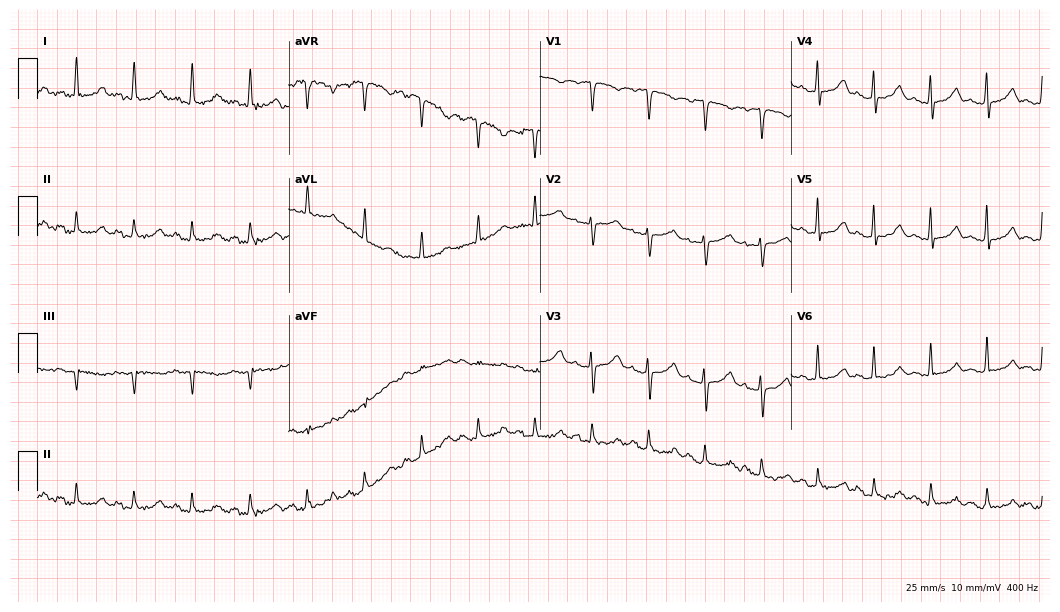
Resting 12-lead electrocardiogram. Patient: a female, 52 years old. The tracing shows sinus tachycardia (a sinus rate of 100 beats per minute or more).